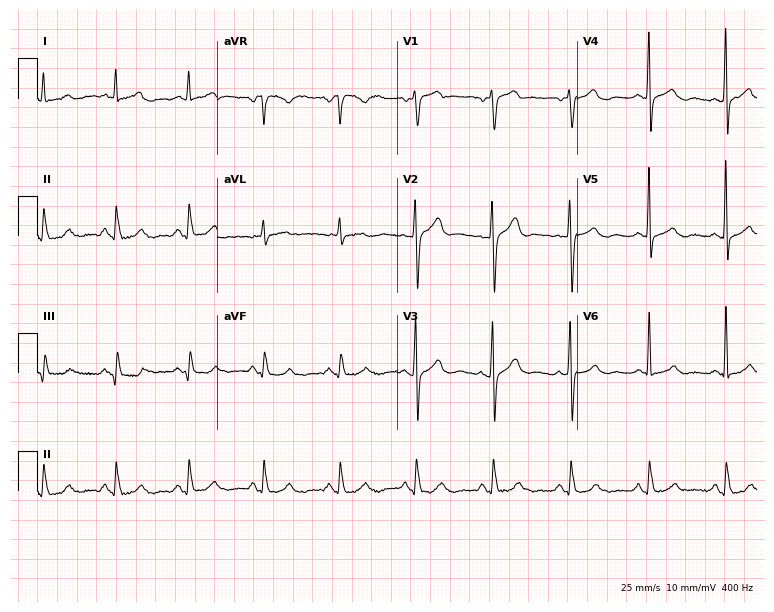
Resting 12-lead electrocardiogram (7.3-second recording at 400 Hz). Patient: a 71-year-old male. None of these six findings is recorded: first-degree AV block, right bundle branch block (RBBB), left bundle branch block (LBBB), sinus bradycardia, atrial fibrillation (AF), sinus tachycardia.